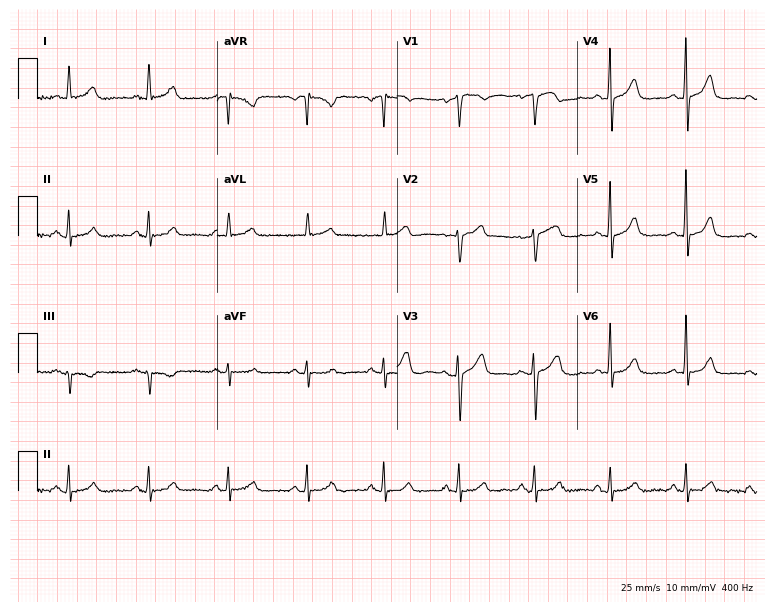
Electrocardiogram (7.3-second recording at 400 Hz), a 61-year-old female patient. Of the six screened findings (first-degree AV block, right bundle branch block (RBBB), left bundle branch block (LBBB), sinus bradycardia, atrial fibrillation (AF), sinus tachycardia), none is recorded.